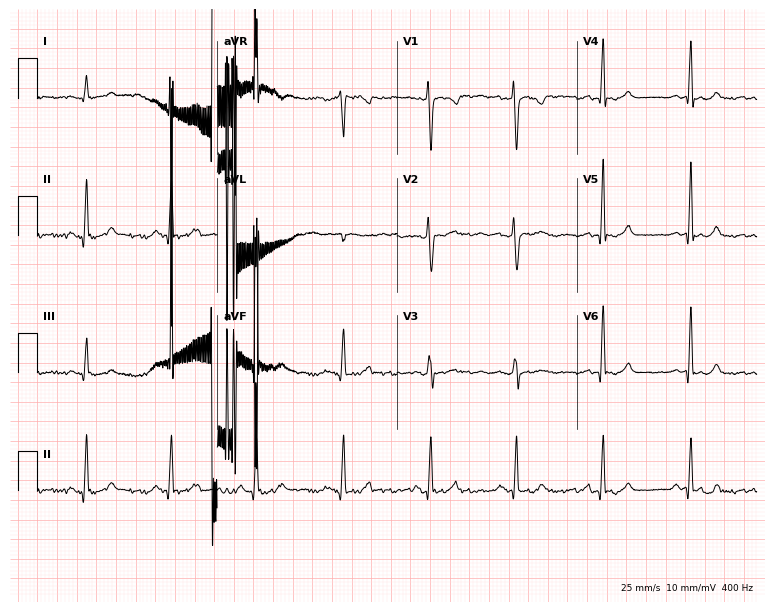
Electrocardiogram, a female, 38 years old. Of the six screened findings (first-degree AV block, right bundle branch block, left bundle branch block, sinus bradycardia, atrial fibrillation, sinus tachycardia), none is recorded.